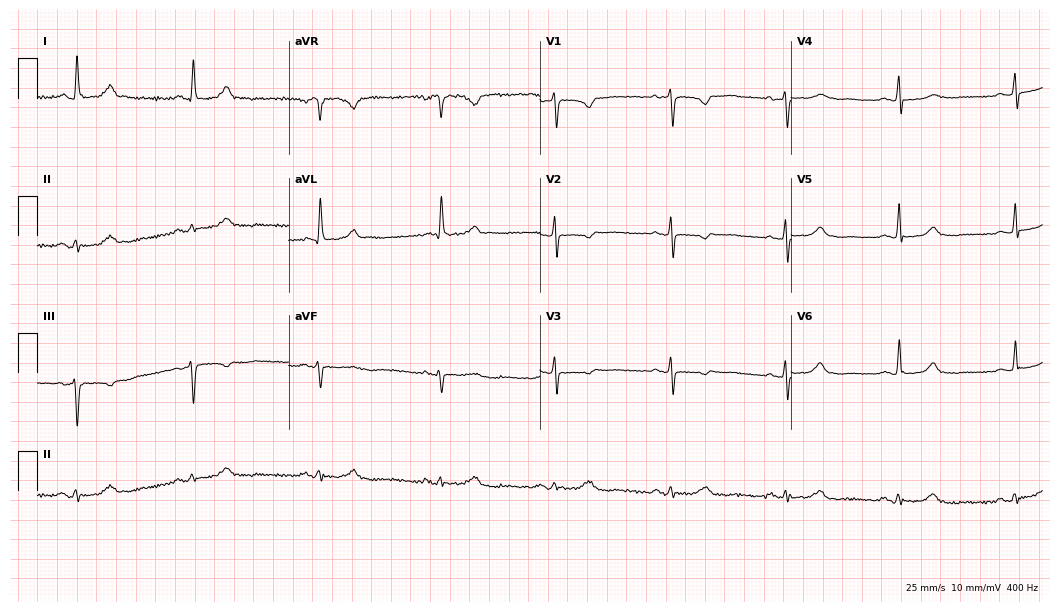
Resting 12-lead electrocardiogram (10.2-second recording at 400 Hz). Patient: a female, 75 years old. None of these six findings is recorded: first-degree AV block, right bundle branch block, left bundle branch block, sinus bradycardia, atrial fibrillation, sinus tachycardia.